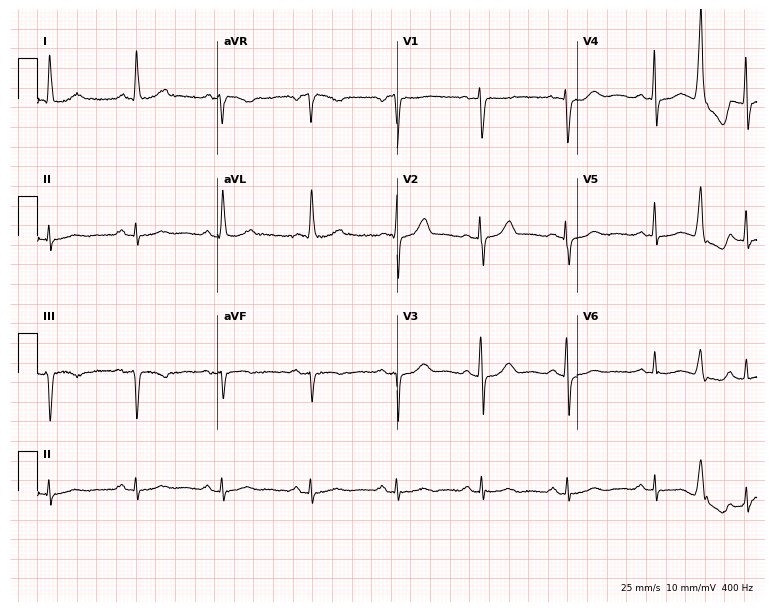
Standard 12-lead ECG recorded from a female, 68 years old. None of these six findings is recorded: first-degree AV block, right bundle branch block, left bundle branch block, sinus bradycardia, atrial fibrillation, sinus tachycardia.